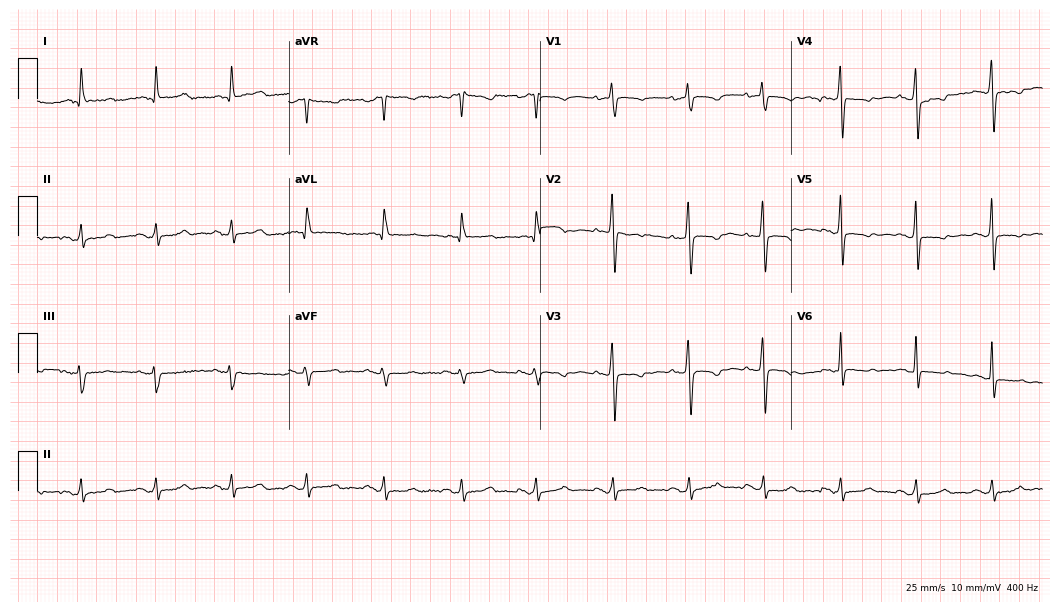
Standard 12-lead ECG recorded from a female patient, 76 years old. None of these six findings is recorded: first-degree AV block, right bundle branch block, left bundle branch block, sinus bradycardia, atrial fibrillation, sinus tachycardia.